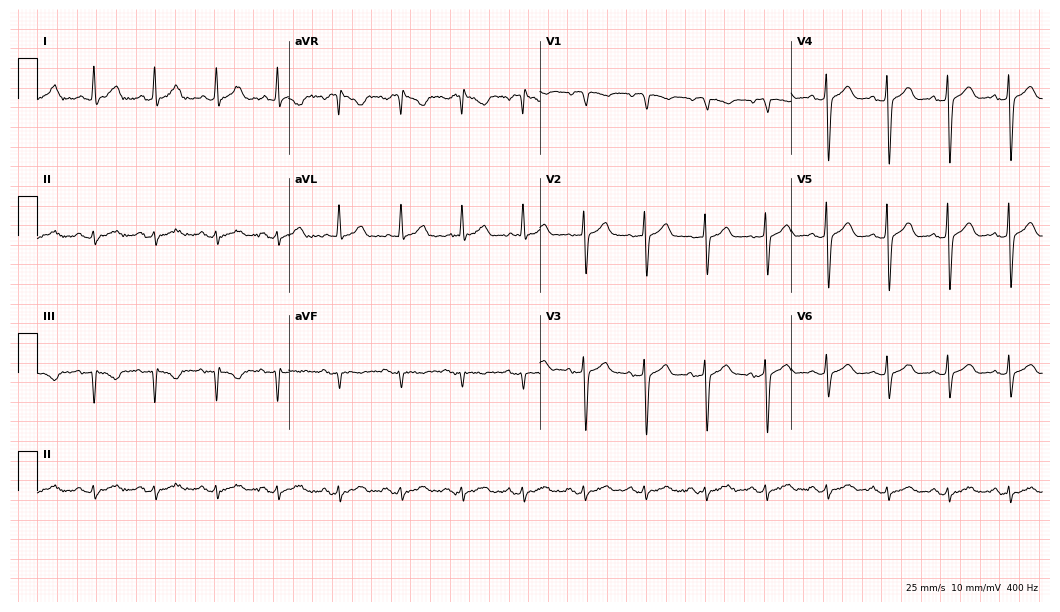
Electrocardiogram, a 66-year-old female patient. Of the six screened findings (first-degree AV block, right bundle branch block, left bundle branch block, sinus bradycardia, atrial fibrillation, sinus tachycardia), none is recorded.